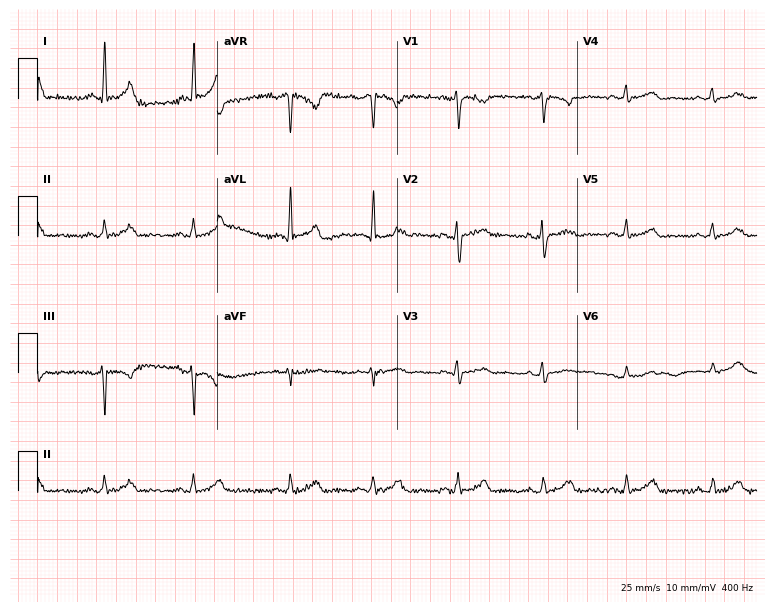
Resting 12-lead electrocardiogram (7.3-second recording at 400 Hz). Patient: a 24-year-old woman. Read as a normal ECG.